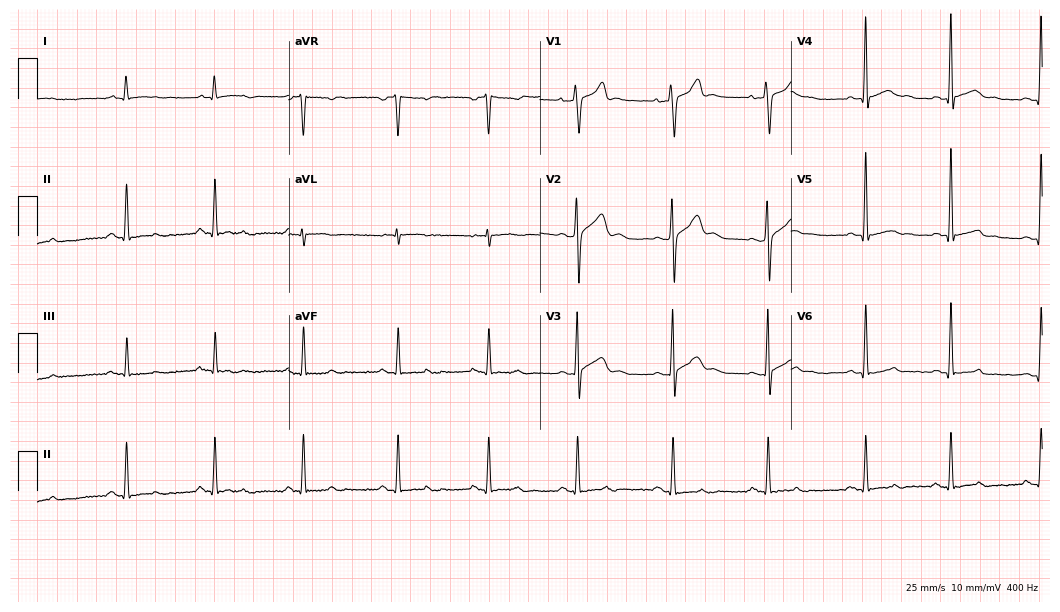
12-lead ECG (10.2-second recording at 400 Hz) from a male, 26 years old. Screened for six findings — first-degree AV block, right bundle branch block, left bundle branch block, sinus bradycardia, atrial fibrillation, sinus tachycardia — none is recorded.